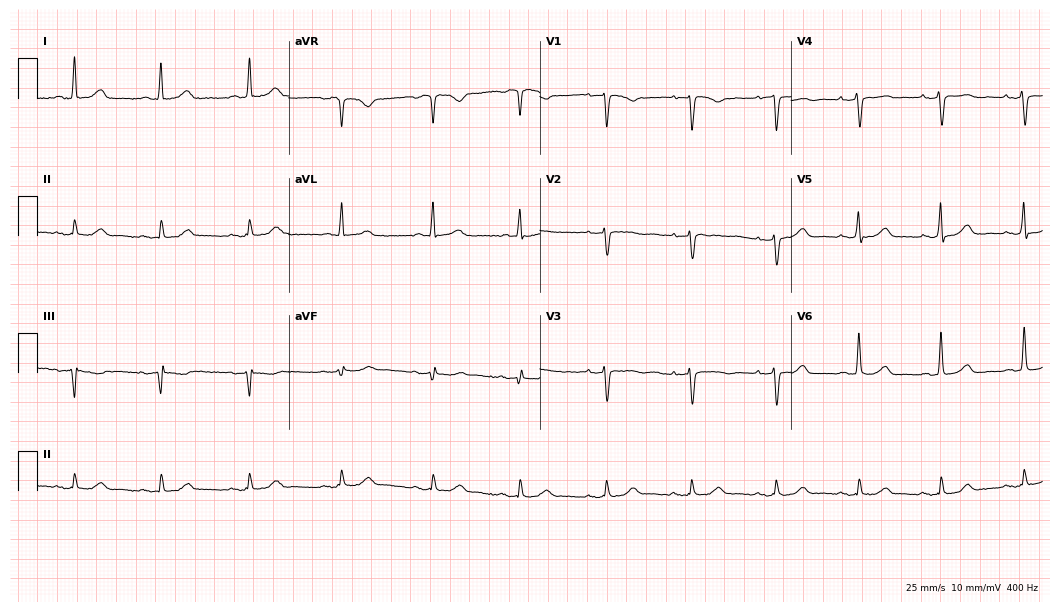
ECG (10.2-second recording at 400 Hz) — a woman, 64 years old. Labelled as a normal ECG.